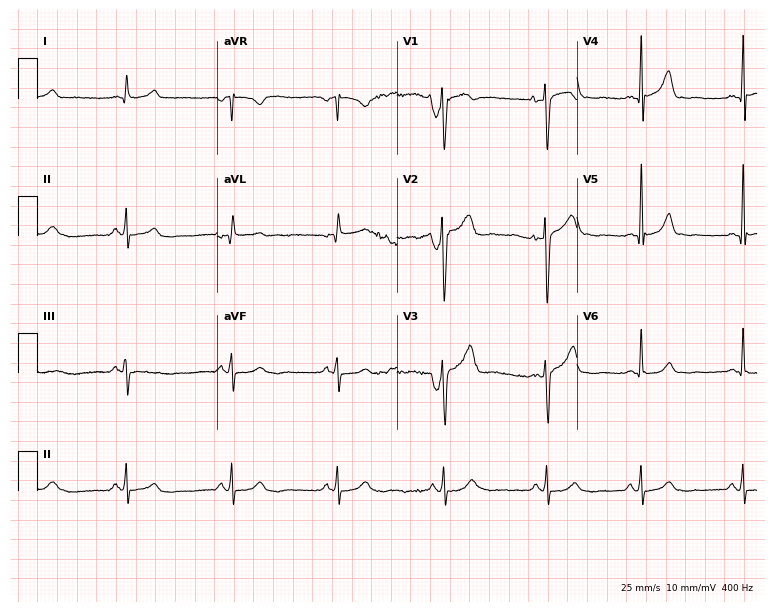
Standard 12-lead ECG recorded from a 70-year-old man. Read as a normal ECG.